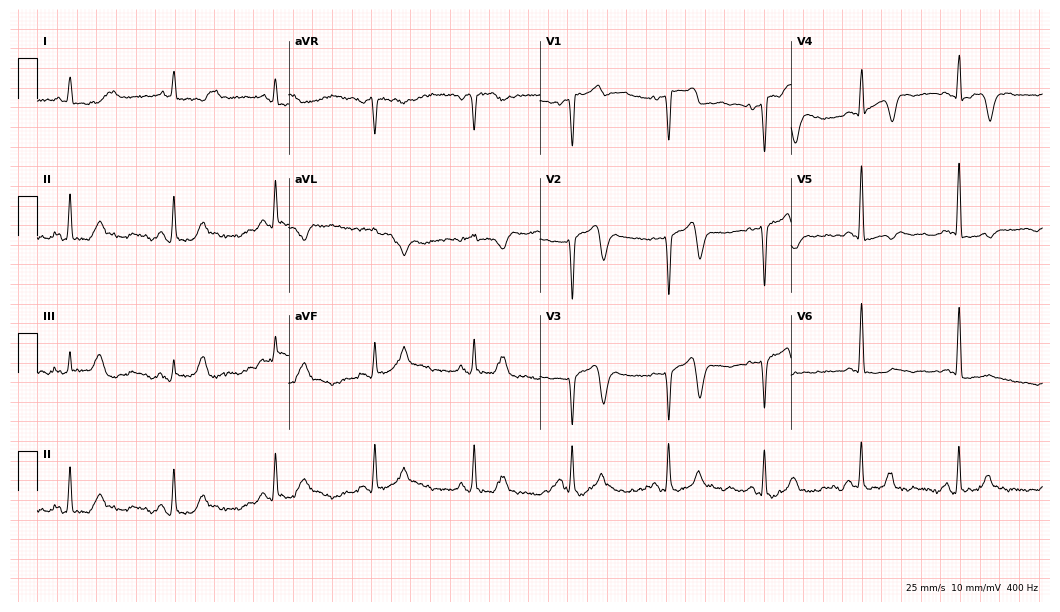
Standard 12-lead ECG recorded from a 69-year-old male patient (10.2-second recording at 400 Hz). None of these six findings is recorded: first-degree AV block, right bundle branch block (RBBB), left bundle branch block (LBBB), sinus bradycardia, atrial fibrillation (AF), sinus tachycardia. Findings outside these six are not listed.